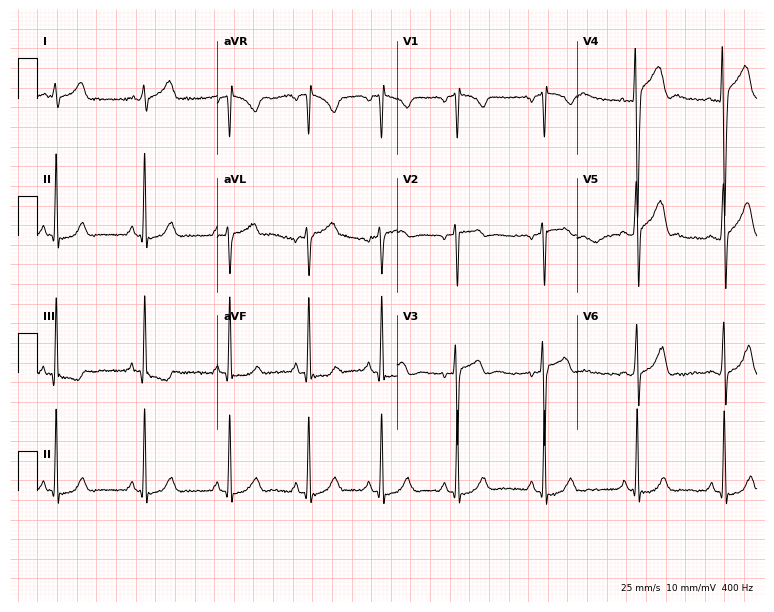
12-lead ECG from a man, 24 years old (7.3-second recording at 400 Hz). Recorded interpretation: within normal limits.